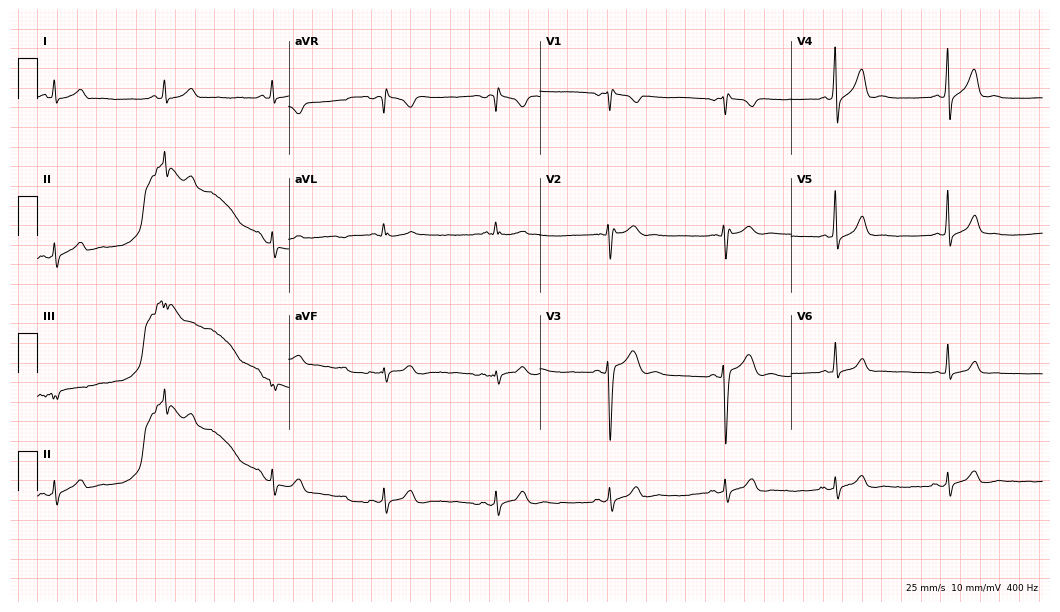
ECG (10.2-second recording at 400 Hz) — a male patient, 24 years old. Screened for six findings — first-degree AV block, right bundle branch block (RBBB), left bundle branch block (LBBB), sinus bradycardia, atrial fibrillation (AF), sinus tachycardia — none is recorded. Only these six findings were labelled.